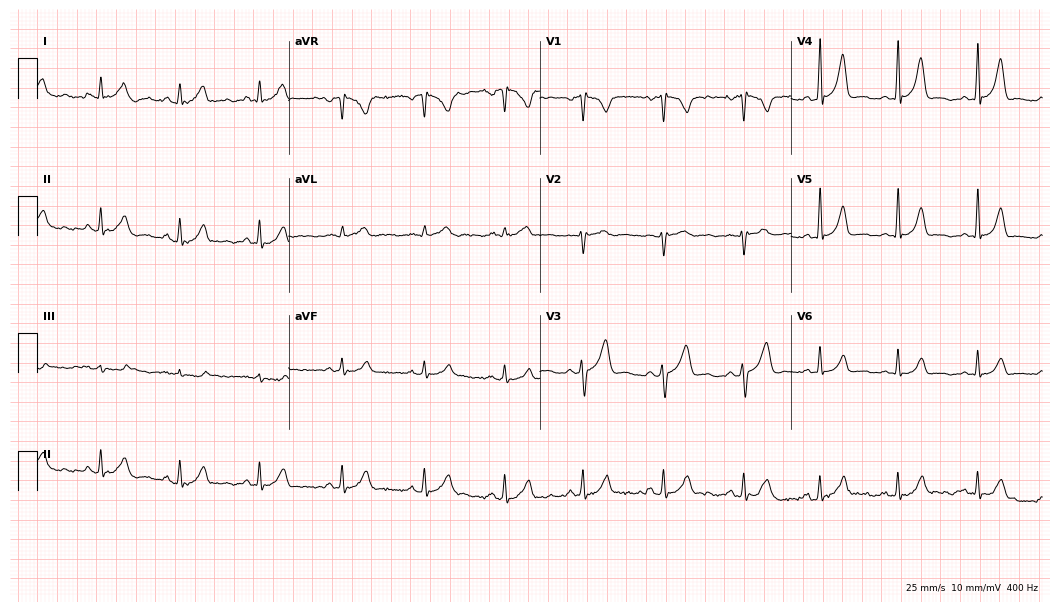
Resting 12-lead electrocardiogram. Patient: a female, 33 years old. None of these six findings is recorded: first-degree AV block, right bundle branch block, left bundle branch block, sinus bradycardia, atrial fibrillation, sinus tachycardia. Findings outside these six are not listed.